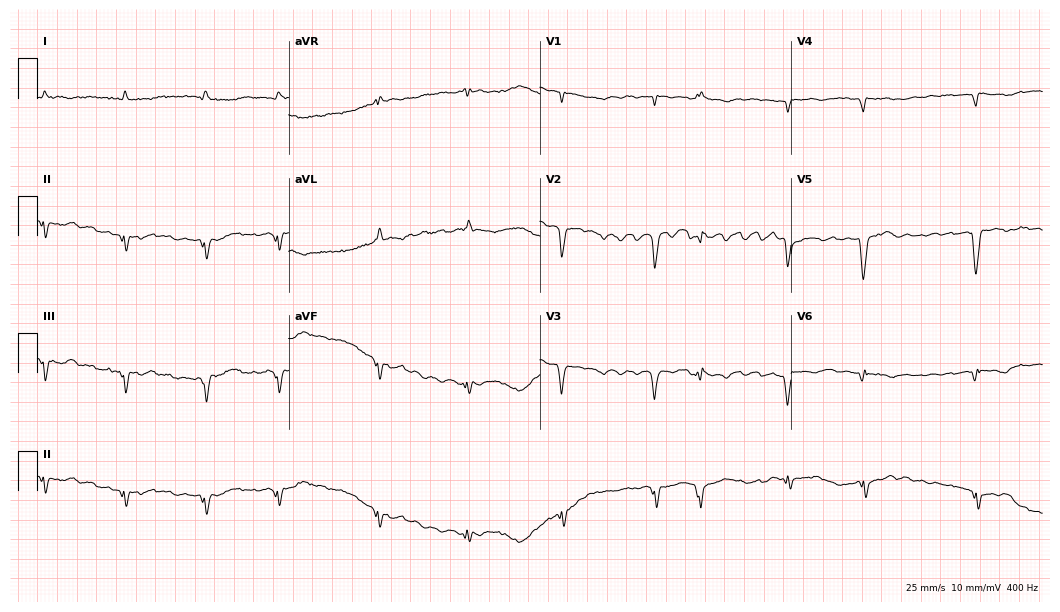
12-lead ECG (10.2-second recording at 400 Hz) from a male, 78 years old. Findings include atrial fibrillation.